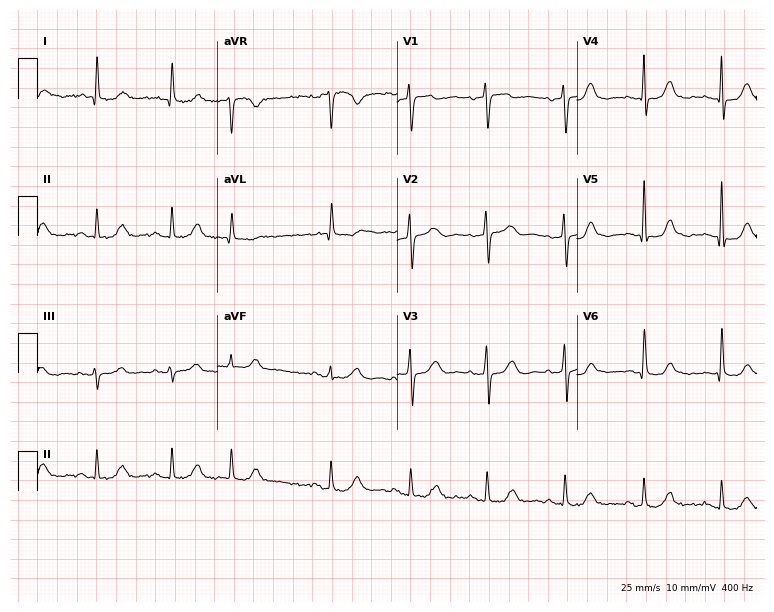
Standard 12-lead ECG recorded from a 74-year-old female. None of these six findings is recorded: first-degree AV block, right bundle branch block, left bundle branch block, sinus bradycardia, atrial fibrillation, sinus tachycardia. Other findings, if any, are not listed.